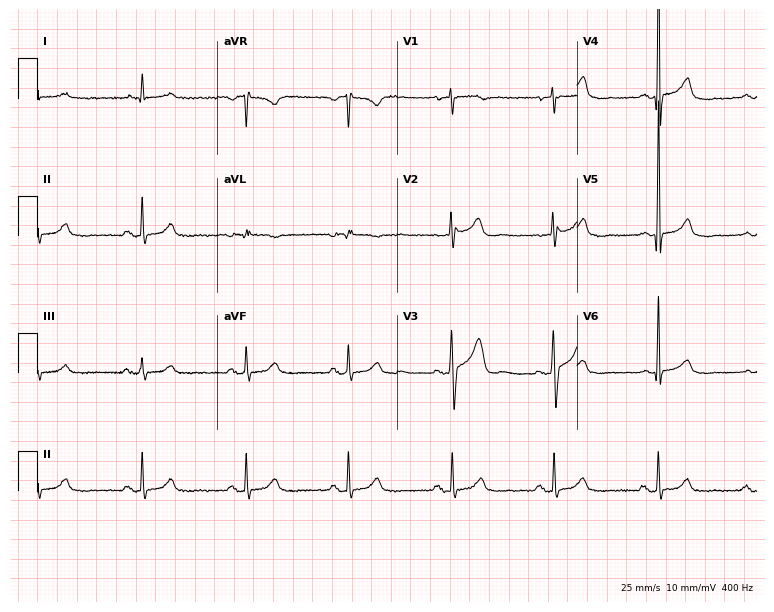
Resting 12-lead electrocardiogram (7.3-second recording at 400 Hz). Patient: a male, 71 years old. Read as a normal ECG.